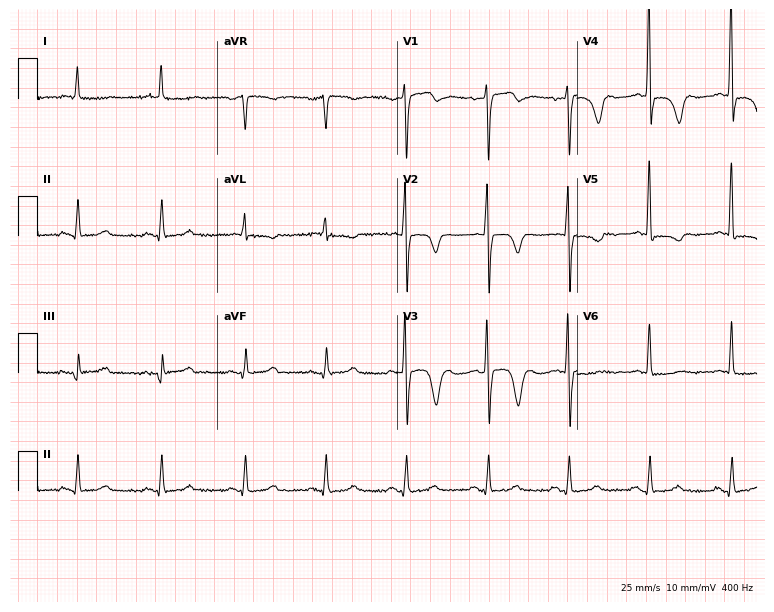
Electrocardiogram, an 80-year-old female. Of the six screened findings (first-degree AV block, right bundle branch block, left bundle branch block, sinus bradycardia, atrial fibrillation, sinus tachycardia), none is recorded.